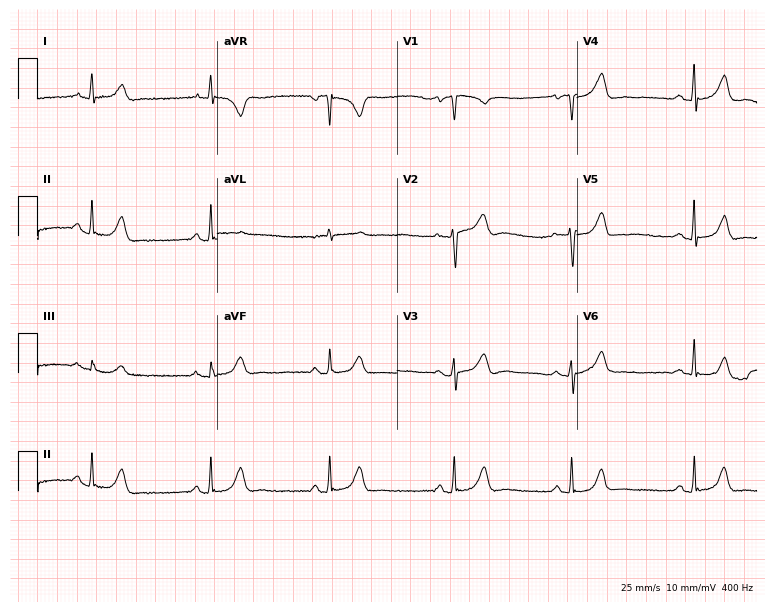
Electrocardiogram (7.3-second recording at 400 Hz), a female, 69 years old. Interpretation includes sinus bradycardia (a sinus rate of 50 beats per minute or less).